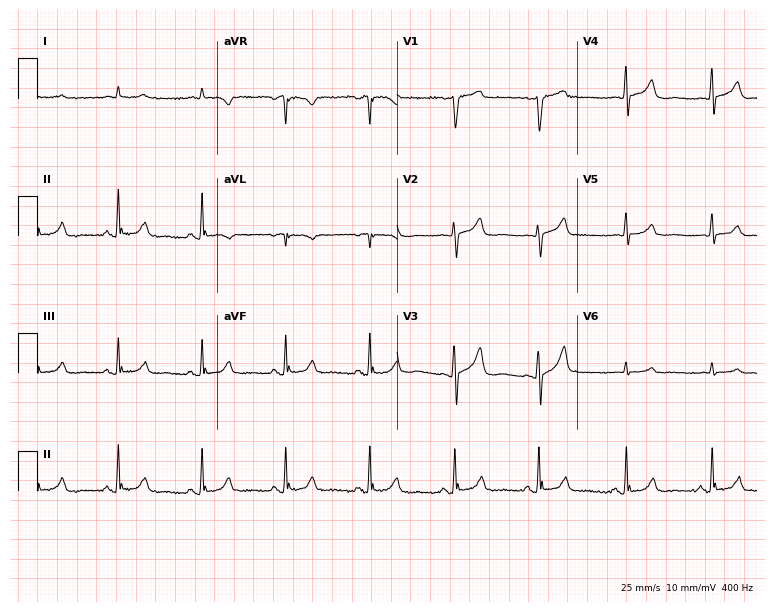
12-lead ECG from a 74-year-old male (7.3-second recording at 400 Hz). No first-degree AV block, right bundle branch block, left bundle branch block, sinus bradycardia, atrial fibrillation or sinus tachycardia recorded for this tracing. Findings outside these six are not listed.